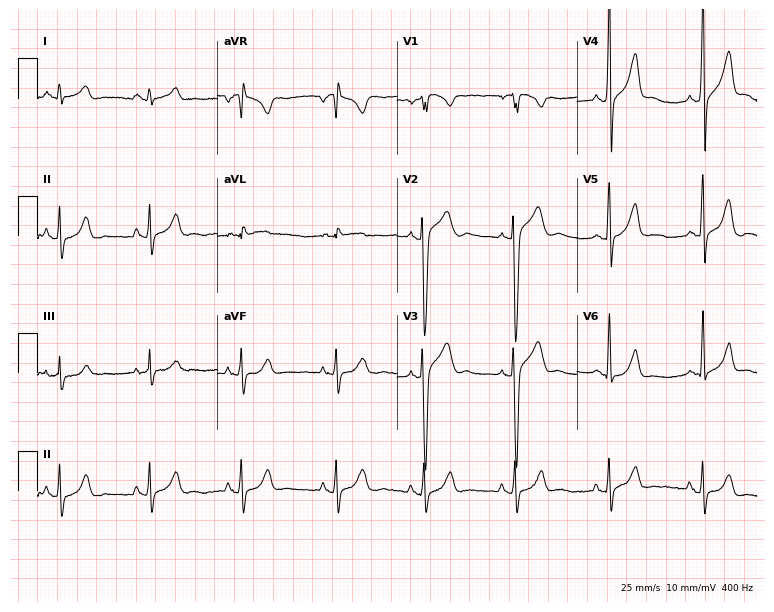
12-lead ECG from a 35-year-old male (7.3-second recording at 400 Hz). No first-degree AV block, right bundle branch block, left bundle branch block, sinus bradycardia, atrial fibrillation or sinus tachycardia recorded for this tracing. Findings outside these six are not listed.